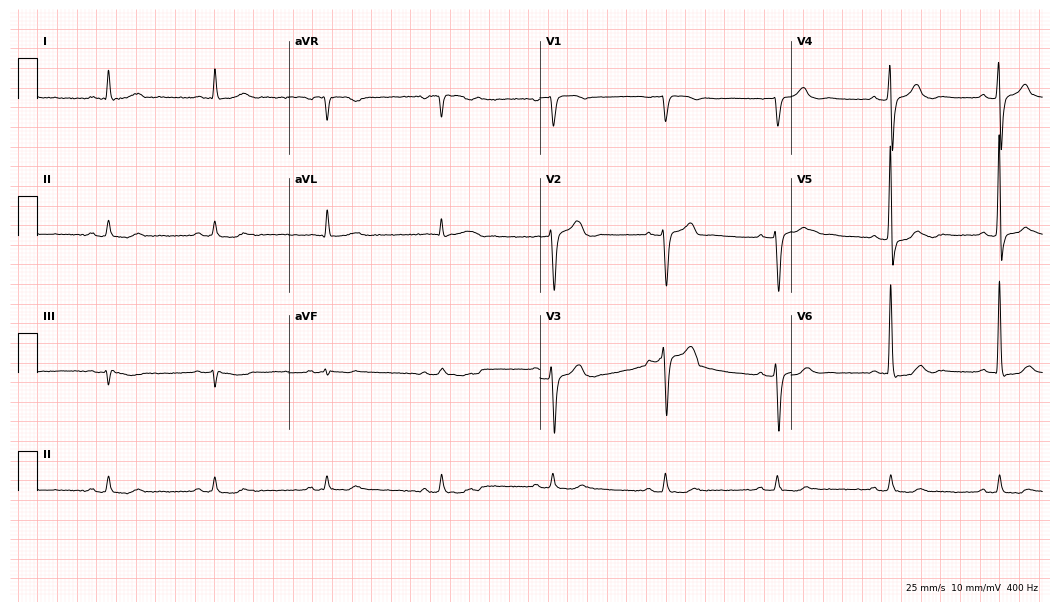
ECG (10.2-second recording at 400 Hz) — a 75-year-old man. Screened for six findings — first-degree AV block, right bundle branch block (RBBB), left bundle branch block (LBBB), sinus bradycardia, atrial fibrillation (AF), sinus tachycardia — none is recorded.